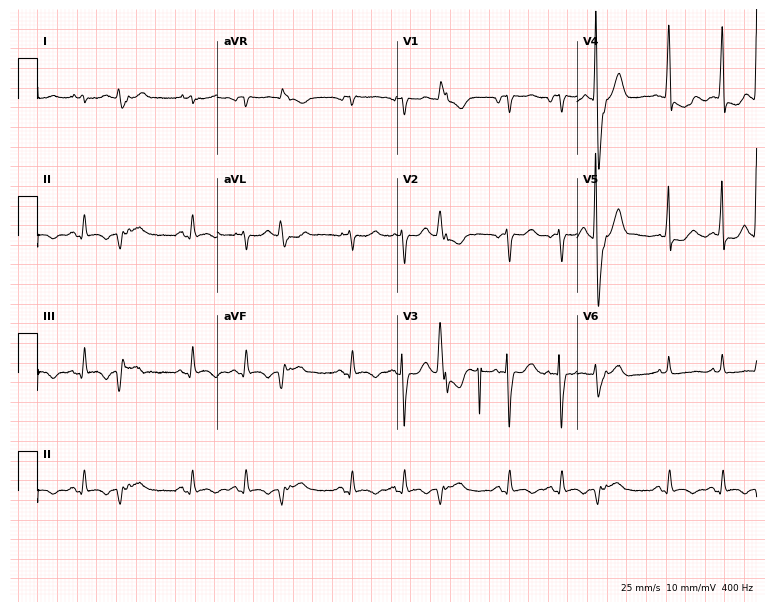
Resting 12-lead electrocardiogram. Patient: a woman, 83 years old. None of these six findings is recorded: first-degree AV block, right bundle branch block, left bundle branch block, sinus bradycardia, atrial fibrillation, sinus tachycardia. Other findings, if any, are not listed.